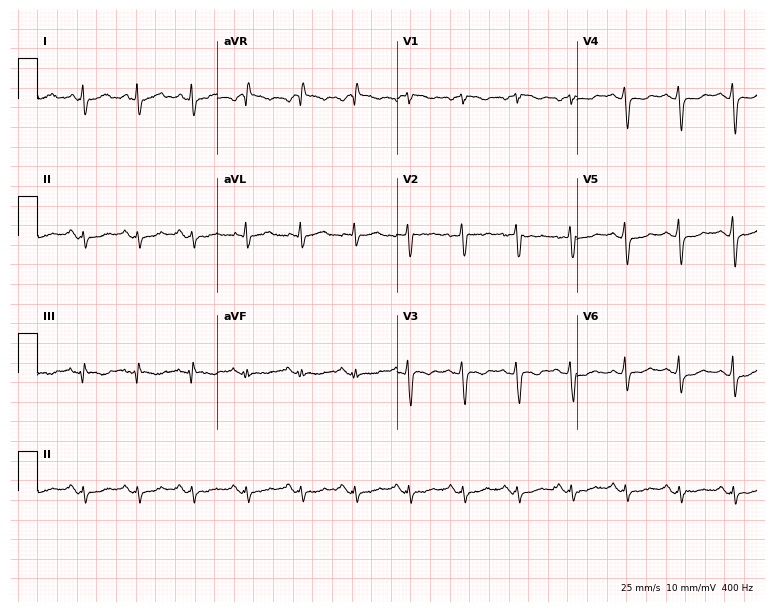
Electrocardiogram, a female, 44 years old. Interpretation includes sinus tachycardia (a sinus rate of 100 beats per minute or more).